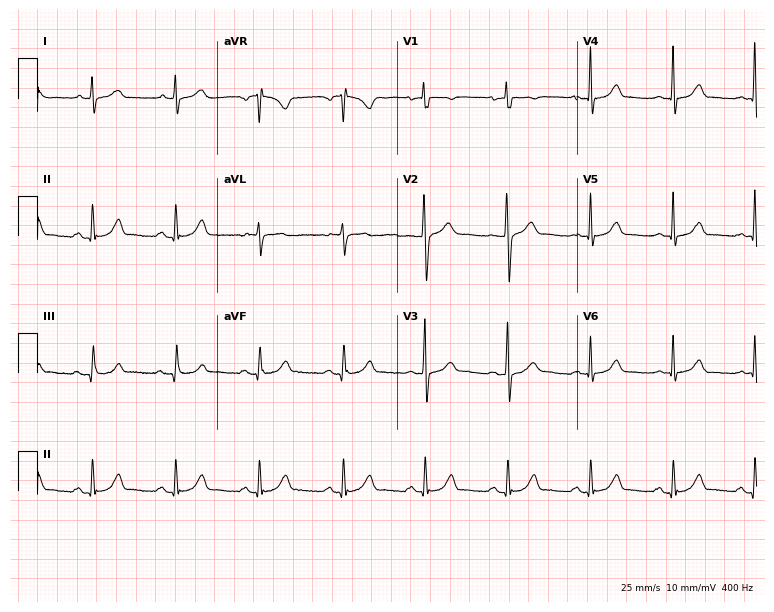
Electrocardiogram, a 36-year-old male. Overall reading on record: normal ECG.